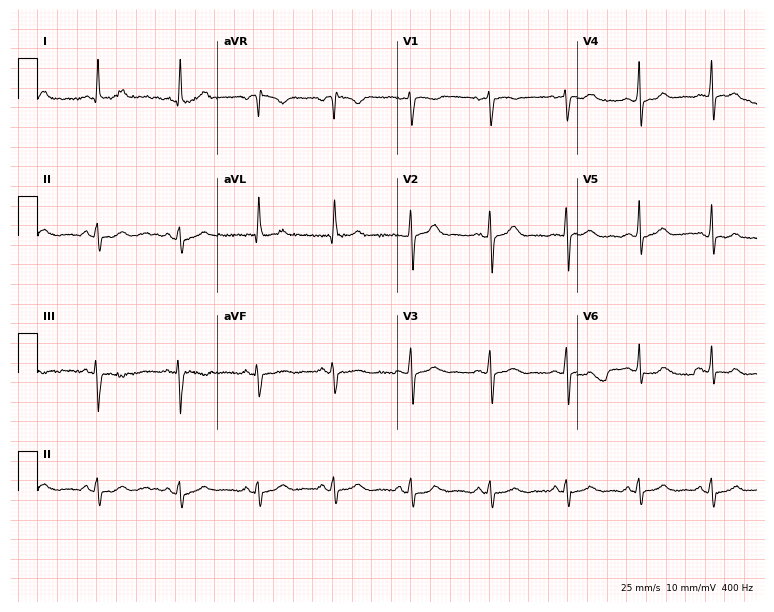
12-lead ECG from a woman, 35 years old. Screened for six findings — first-degree AV block, right bundle branch block (RBBB), left bundle branch block (LBBB), sinus bradycardia, atrial fibrillation (AF), sinus tachycardia — none is recorded.